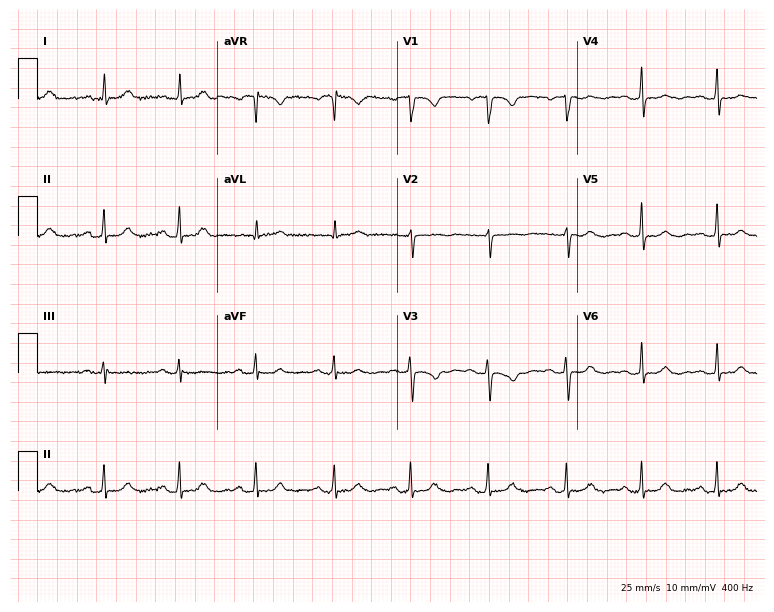
Resting 12-lead electrocardiogram (7.3-second recording at 400 Hz). Patient: a woman, 55 years old. None of these six findings is recorded: first-degree AV block, right bundle branch block, left bundle branch block, sinus bradycardia, atrial fibrillation, sinus tachycardia.